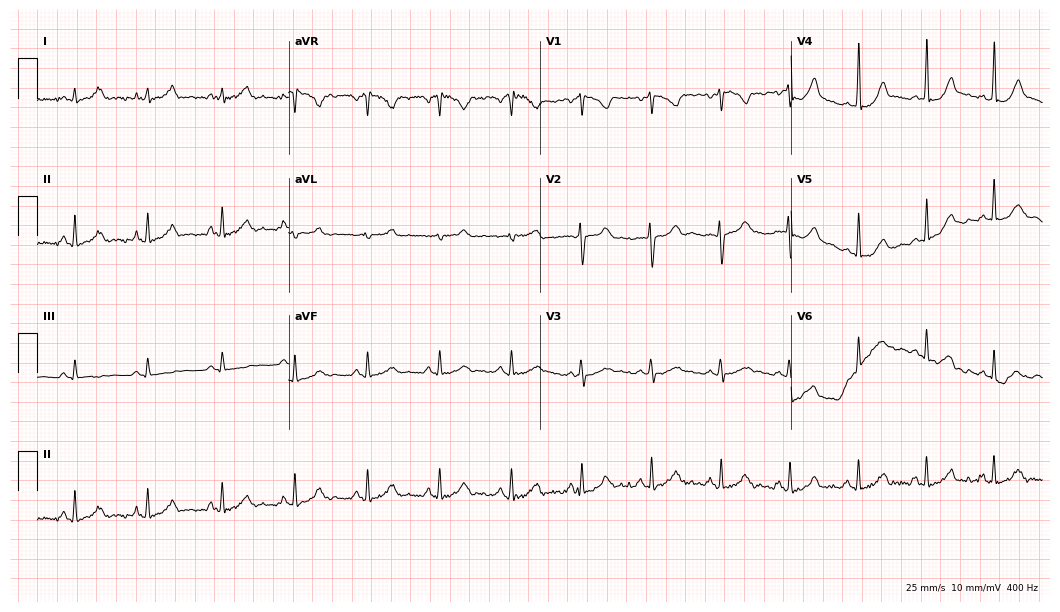
Electrocardiogram, a female patient, 24 years old. Overall reading on record: normal ECG.